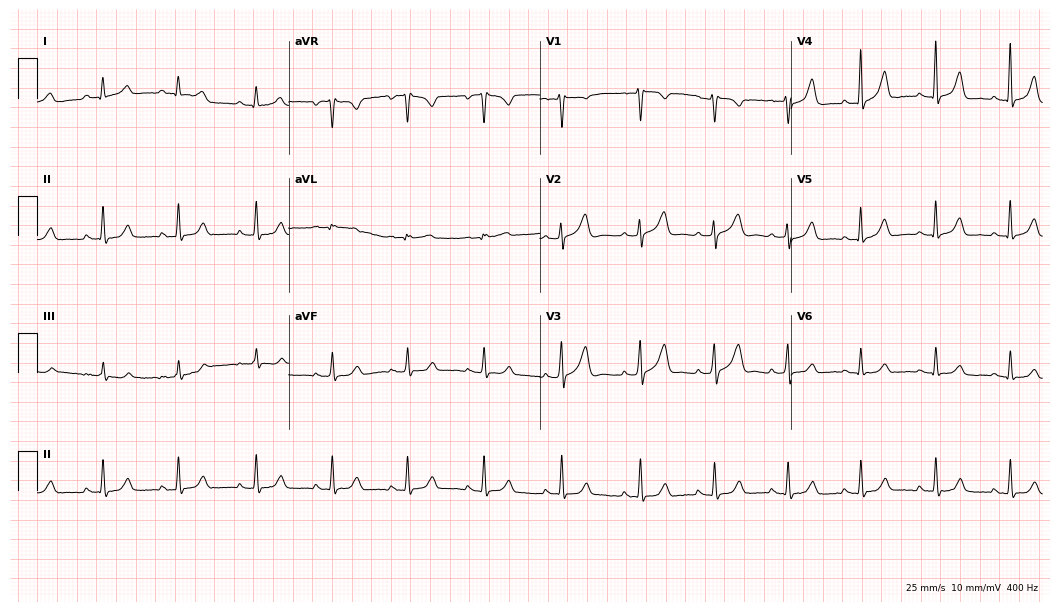
ECG (10.2-second recording at 400 Hz) — a 35-year-old female patient. Screened for six findings — first-degree AV block, right bundle branch block (RBBB), left bundle branch block (LBBB), sinus bradycardia, atrial fibrillation (AF), sinus tachycardia — none is recorded. Only these six findings were labelled.